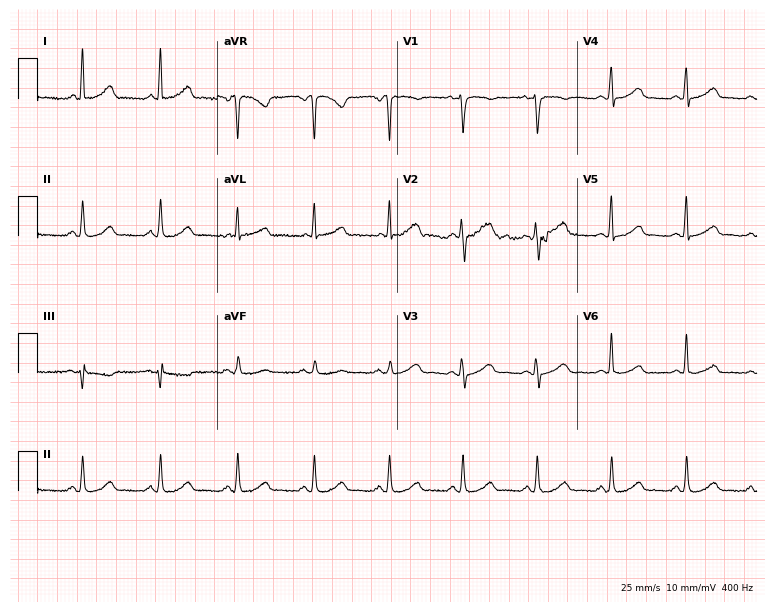
12-lead ECG (7.3-second recording at 400 Hz) from a 46-year-old female patient. Labelled as a normal ECG.